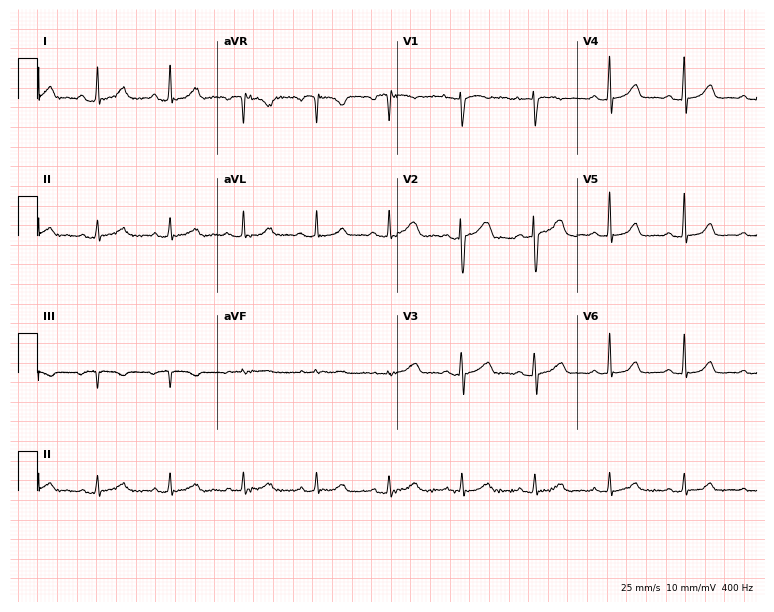
12-lead ECG from a 47-year-old female patient. Recorded interpretation: within normal limits.